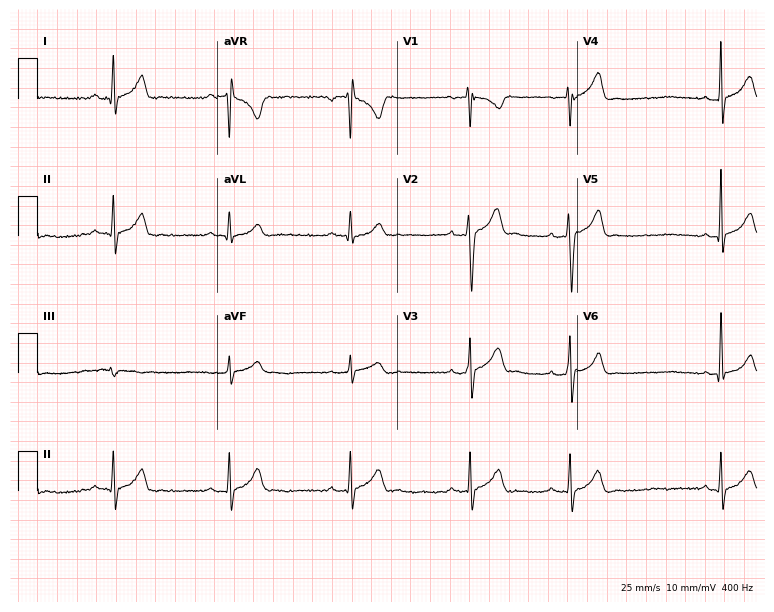
12-lead ECG (7.3-second recording at 400 Hz) from a male patient, 24 years old. Findings include sinus bradycardia (a sinus rate of 50 beats per minute or less).